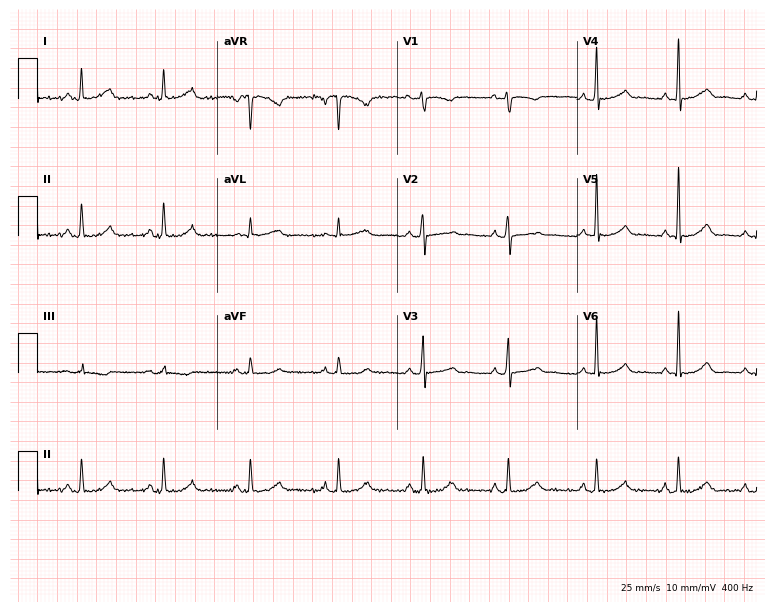
Standard 12-lead ECG recorded from a female patient, 43 years old (7.3-second recording at 400 Hz). Read as a normal ECG.